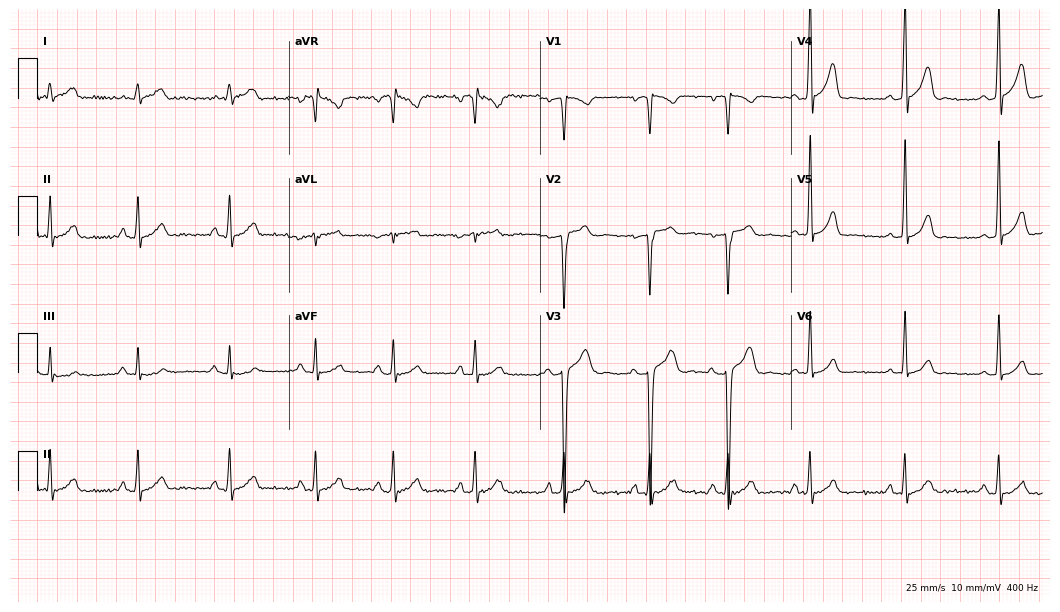
ECG — a woman, 29 years old. Labelled as a normal ECG.